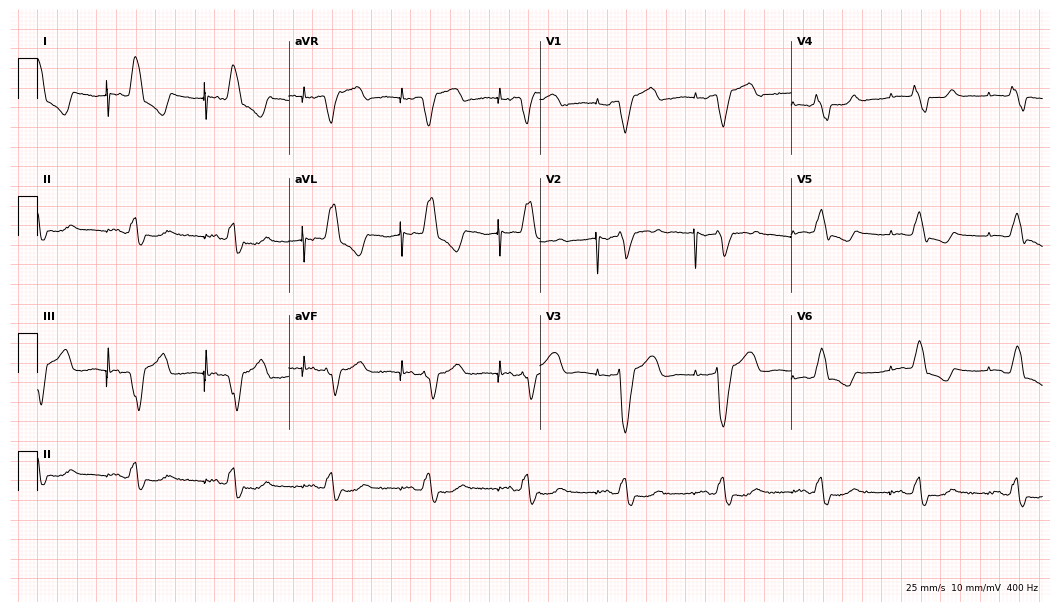
12-lead ECG from a female patient, 71 years old. Shows first-degree AV block.